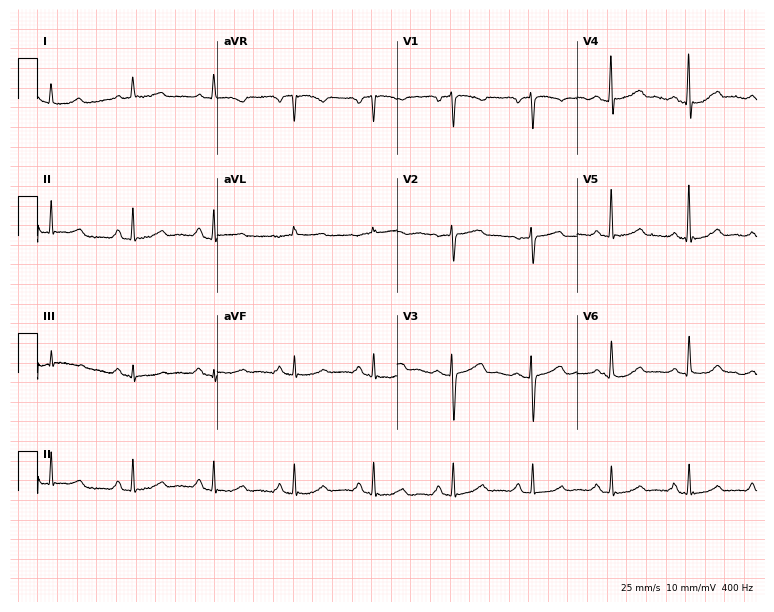
12-lead ECG from a 55-year-old female patient. Labelled as a normal ECG.